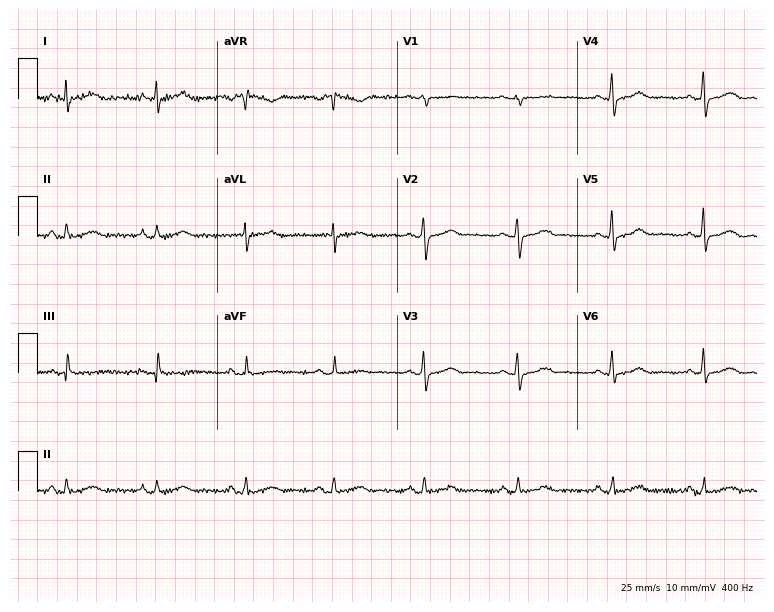
Standard 12-lead ECG recorded from a female patient, 48 years old. Read as a normal ECG.